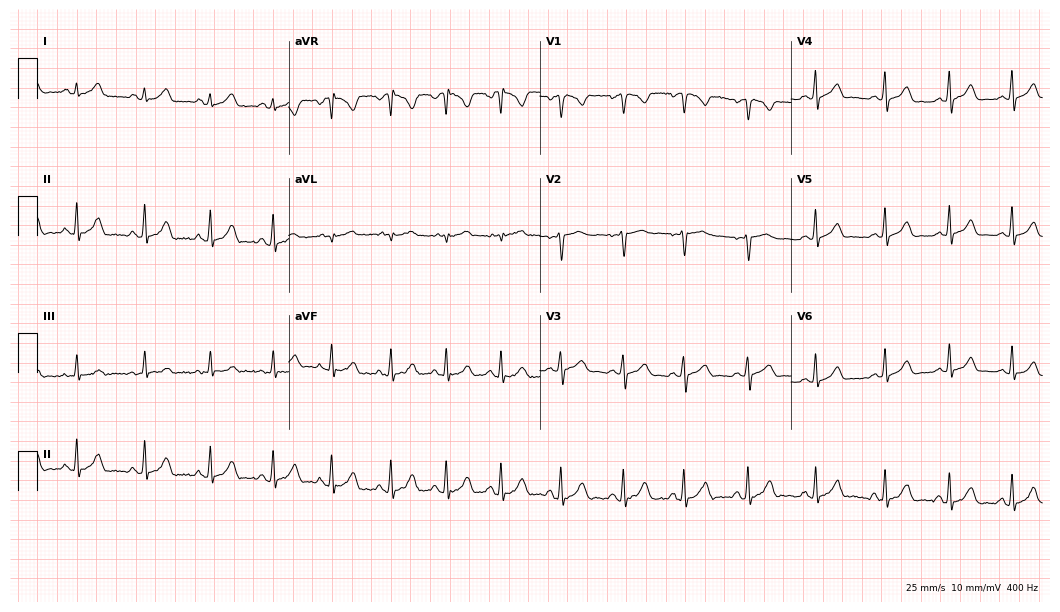
Electrocardiogram, a female, 17 years old. Overall reading on record: normal ECG.